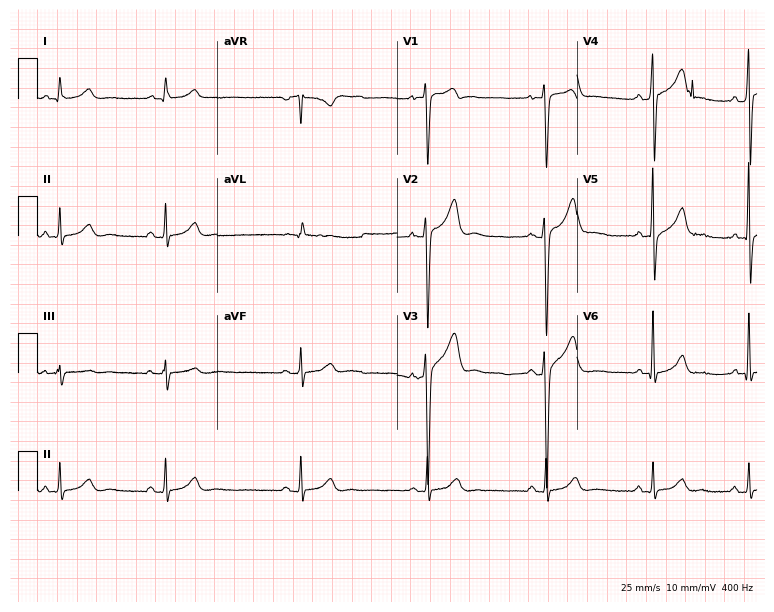
Resting 12-lead electrocardiogram (7.3-second recording at 400 Hz). Patient: a 27-year-old man. The tracing shows sinus bradycardia (a sinus rate of 50 beats per minute or less).